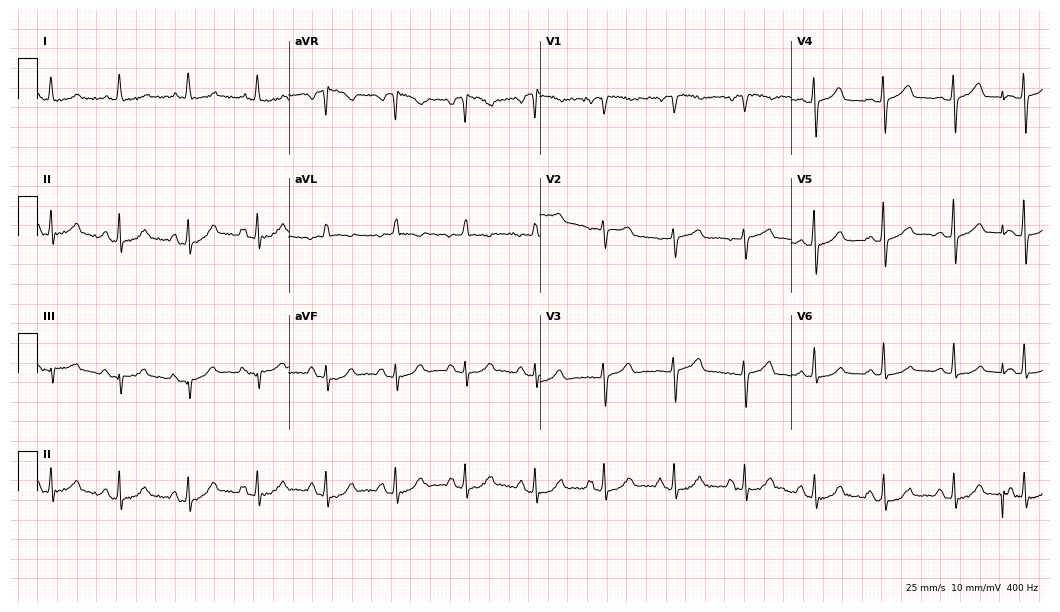
12-lead ECG from a female, 68 years old. Recorded interpretation: within normal limits.